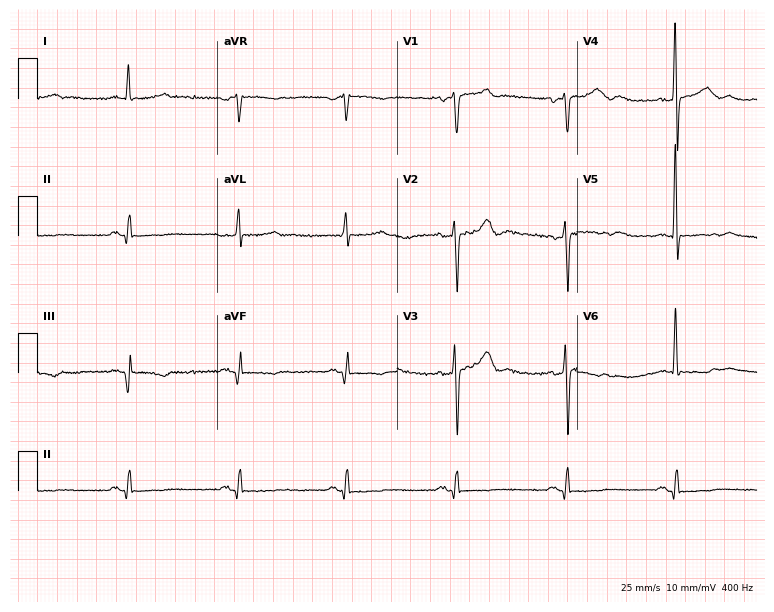
Resting 12-lead electrocardiogram. Patient: a man, 73 years old. None of these six findings is recorded: first-degree AV block, right bundle branch block, left bundle branch block, sinus bradycardia, atrial fibrillation, sinus tachycardia.